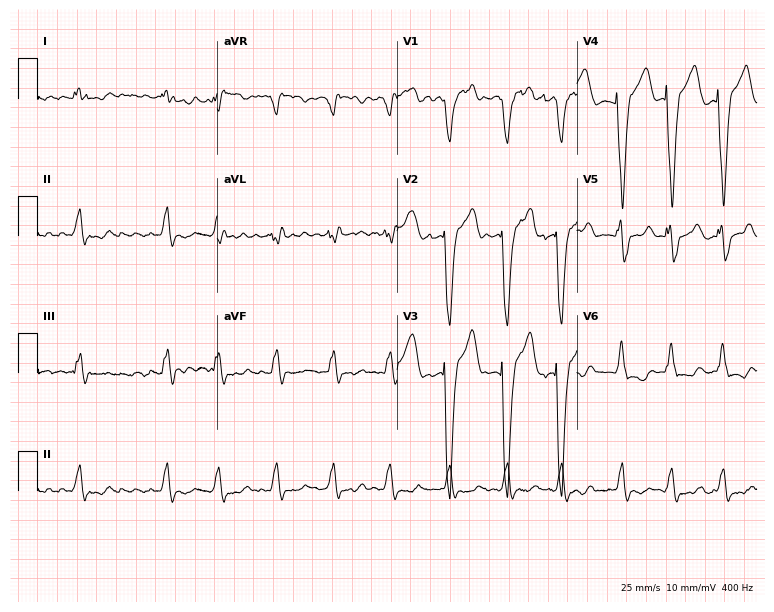
12-lead ECG from a 59-year-old male (7.3-second recording at 400 Hz). Shows left bundle branch block, atrial fibrillation.